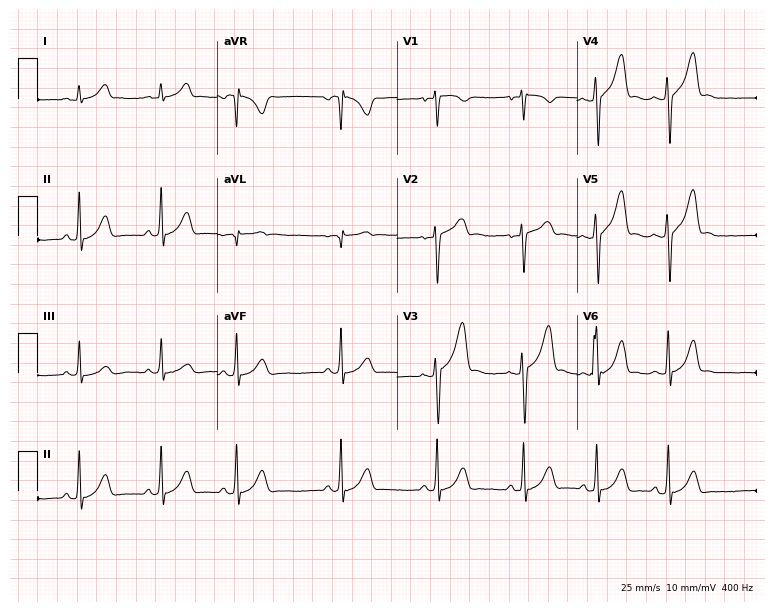
Resting 12-lead electrocardiogram (7.3-second recording at 400 Hz). Patient: a male, 20 years old. None of these six findings is recorded: first-degree AV block, right bundle branch block, left bundle branch block, sinus bradycardia, atrial fibrillation, sinus tachycardia.